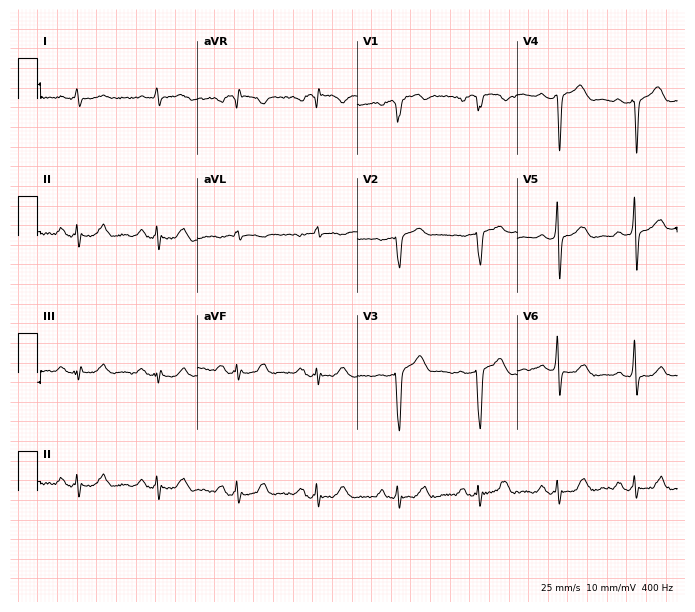
Resting 12-lead electrocardiogram (6.5-second recording at 400 Hz). Patient: a male, 77 years old. None of these six findings is recorded: first-degree AV block, right bundle branch block, left bundle branch block, sinus bradycardia, atrial fibrillation, sinus tachycardia. Findings outside these six are not listed.